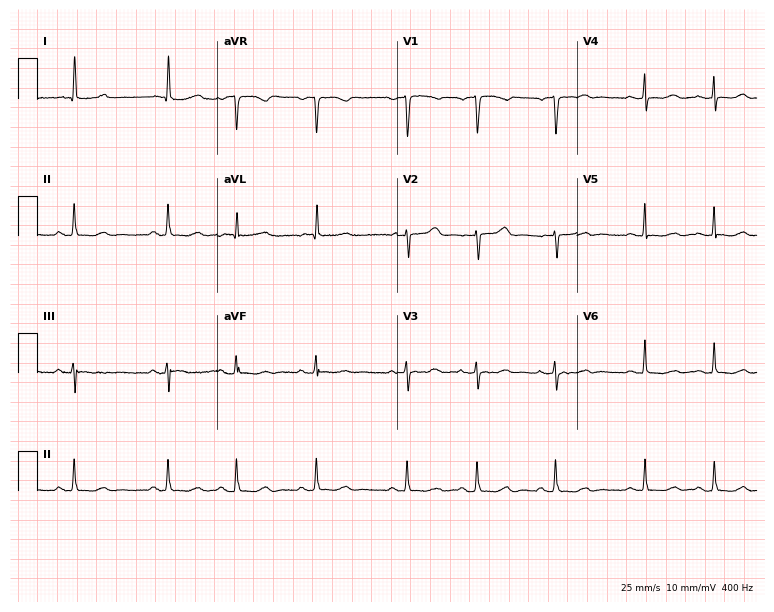
ECG — a female patient, 84 years old. Screened for six findings — first-degree AV block, right bundle branch block (RBBB), left bundle branch block (LBBB), sinus bradycardia, atrial fibrillation (AF), sinus tachycardia — none is recorded.